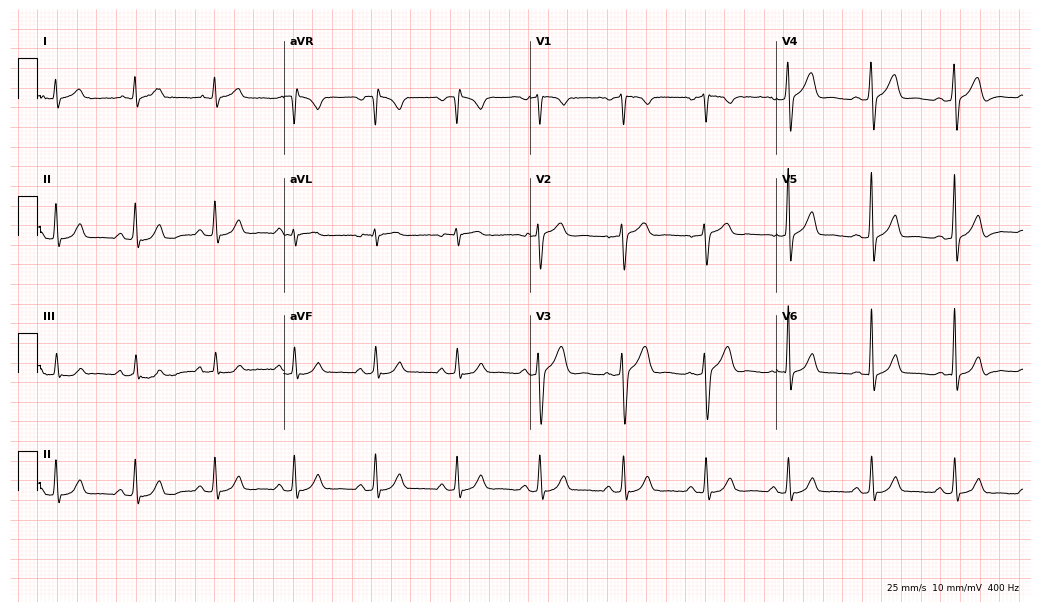
Standard 12-lead ECG recorded from a 45-year-old male (10-second recording at 400 Hz). Read as a normal ECG.